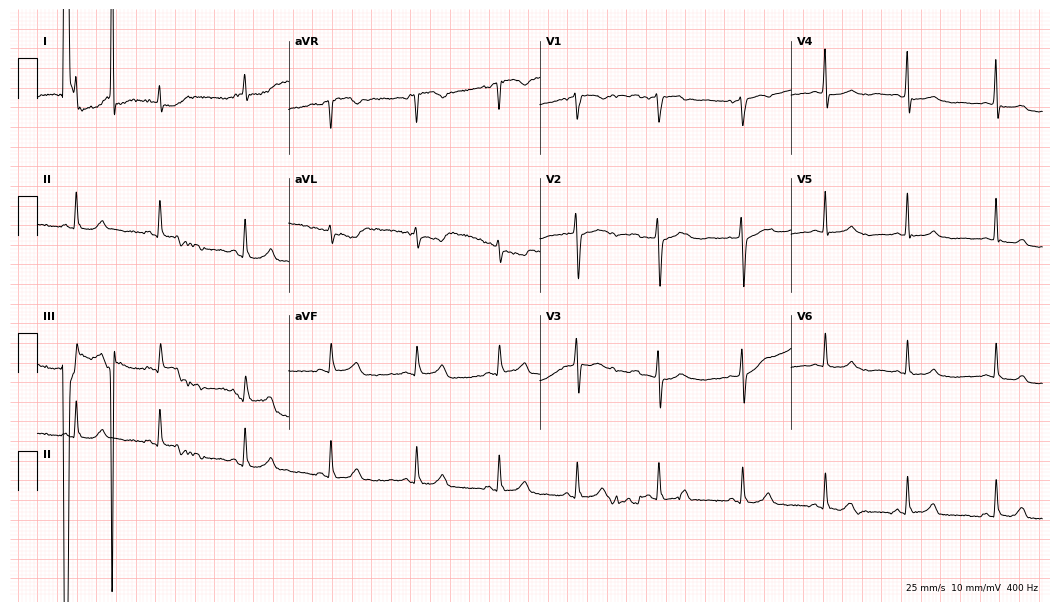
12-lead ECG from a 41-year-old female patient. Screened for six findings — first-degree AV block, right bundle branch block, left bundle branch block, sinus bradycardia, atrial fibrillation, sinus tachycardia — none is recorded. Only these six findings were labelled.